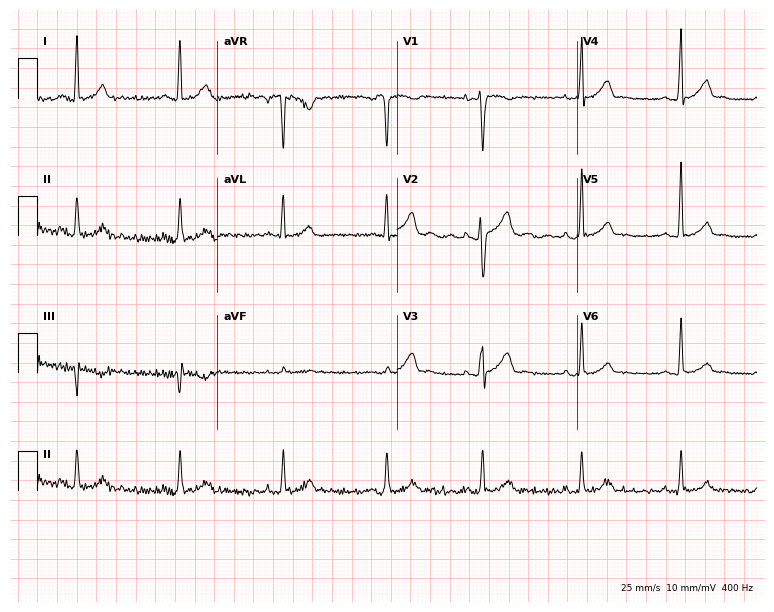
Electrocardiogram (7.3-second recording at 400 Hz), a 26-year-old male patient. Overall reading on record: normal ECG.